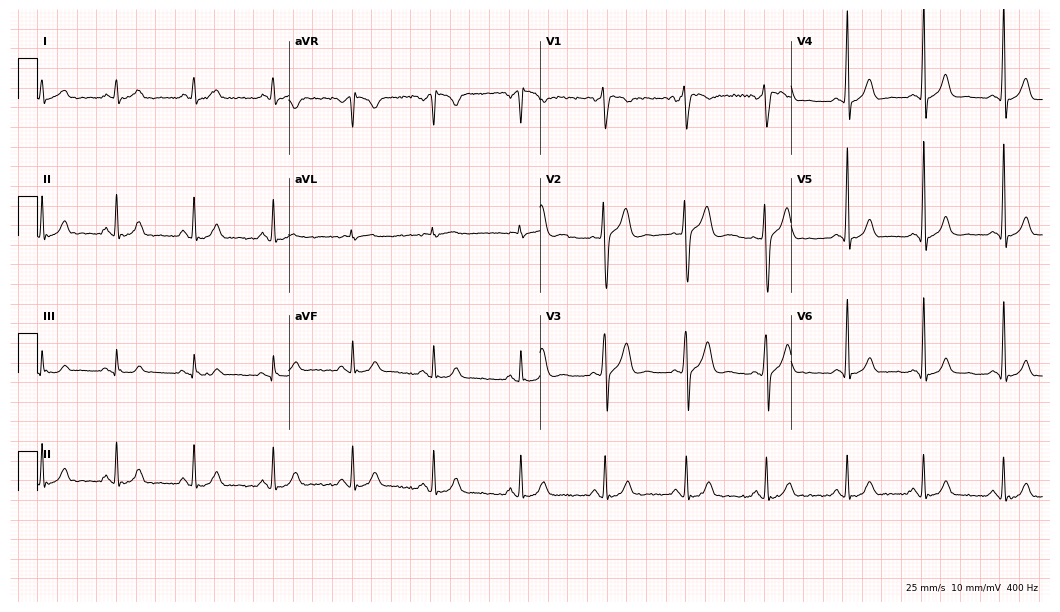
ECG (10.2-second recording at 400 Hz) — a 37-year-old male. Screened for six findings — first-degree AV block, right bundle branch block (RBBB), left bundle branch block (LBBB), sinus bradycardia, atrial fibrillation (AF), sinus tachycardia — none is recorded.